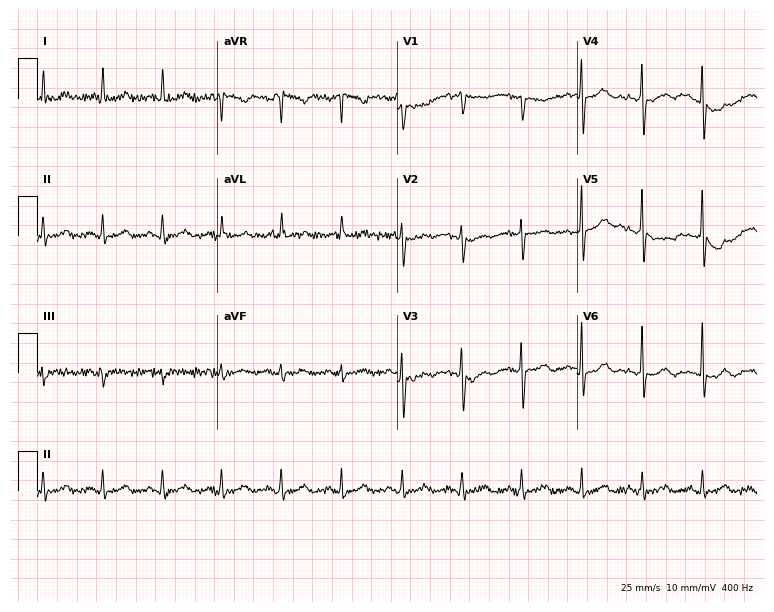
12-lead ECG from a woman, 67 years old (7.3-second recording at 400 Hz). No first-degree AV block, right bundle branch block, left bundle branch block, sinus bradycardia, atrial fibrillation or sinus tachycardia recorded for this tracing. Only these six findings were labelled.